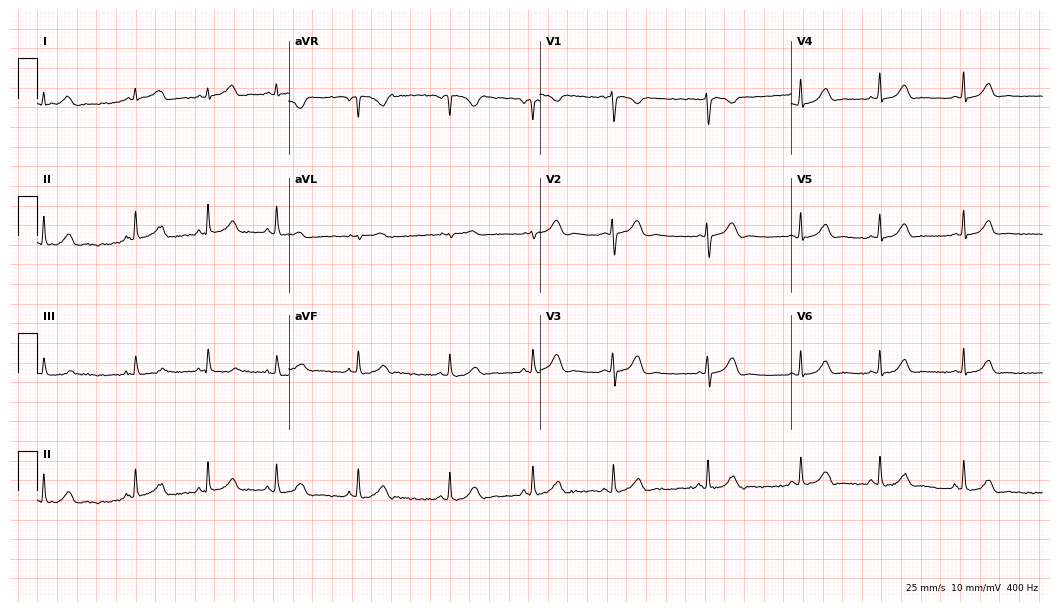
Resting 12-lead electrocardiogram (10.2-second recording at 400 Hz). Patient: an 18-year-old female. Read as a normal ECG.